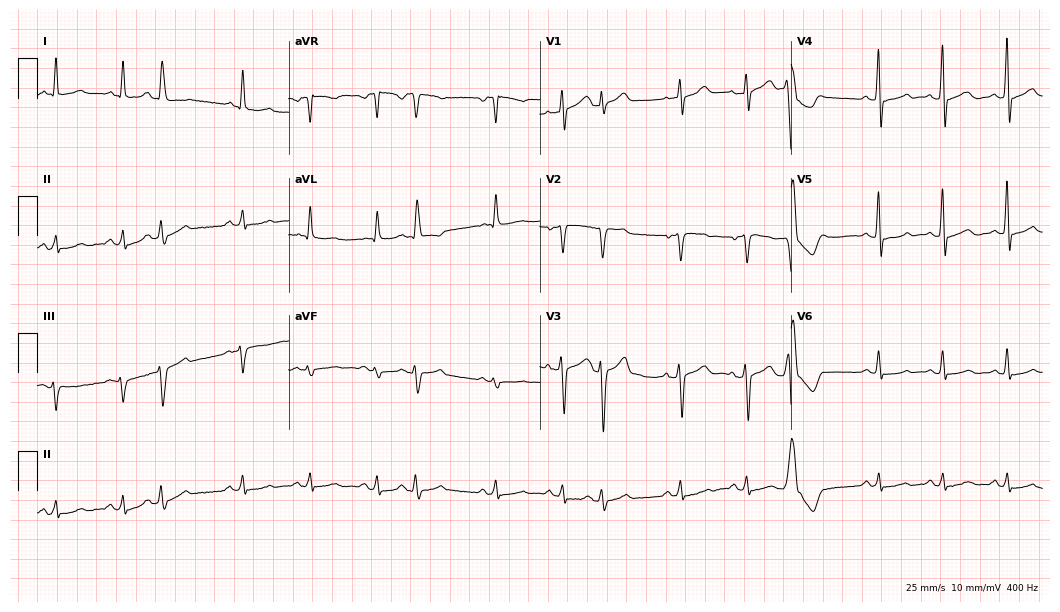
ECG — a 68-year-old male. Screened for six findings — first-degree AV block, right bundle branch block, left bundle branch block, sinus bradycardia, atrial fibrillation, sinus tachycardia — none is recorded. Other findings, if any, are not listed.